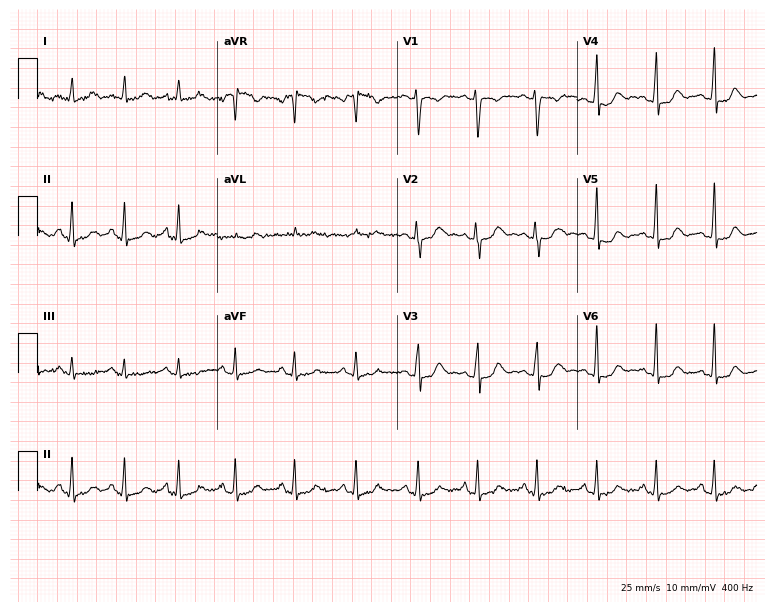
ECG (7.3-second recording at 400 Hz) — a female, 30 years old. Screened for six findings — first-degree AV block, right bundle branch block (RBBB), left bundle branch block (LBBB), sinus bradycardia, atrial fibrillation (AF), sinus tachycardia — none is recorded.